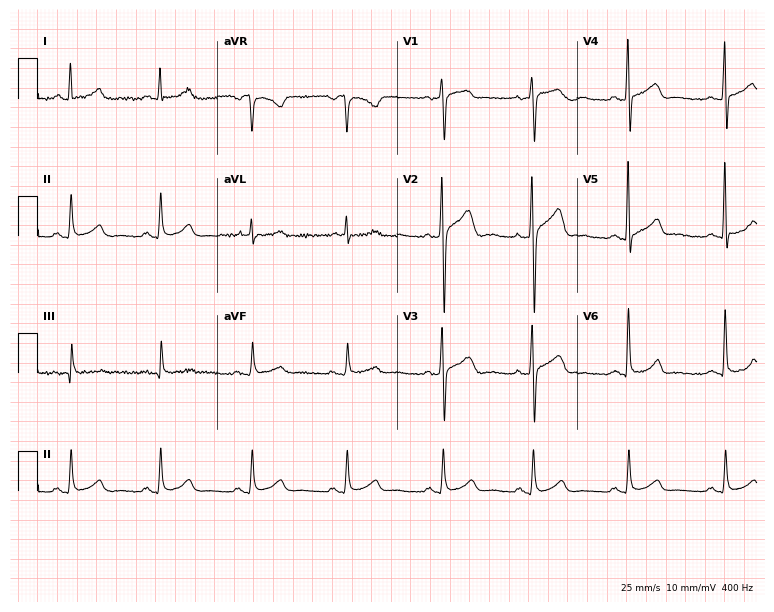
ECG — a 48-year-old male. Labelled as a normal ECG.